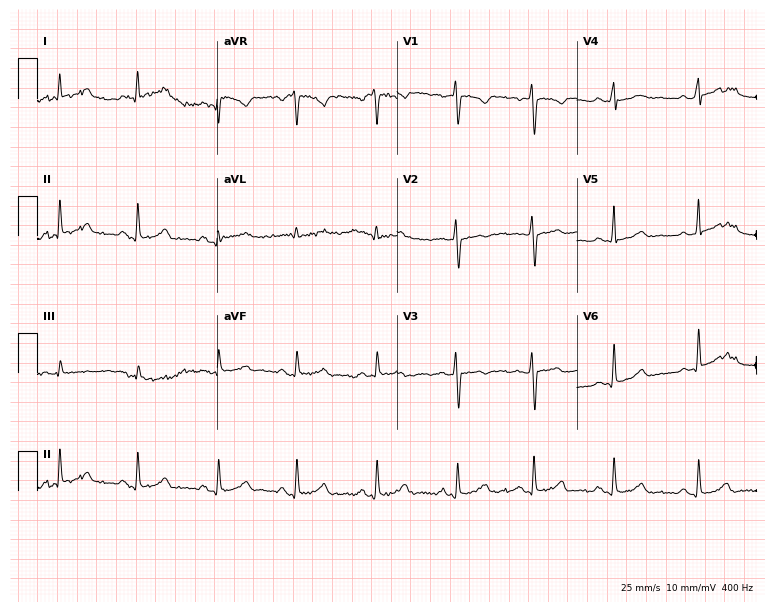
ECG (7.3-second recording at 400 Hz) — a female patient, 26 years old. Screened for six findings — first-degree AV block, right bundle branch block, left bundle branch block, sinus bradycardia, atrial fibrillation, sinus tachycardia — none is recorded. Findings outside these six are not listed.